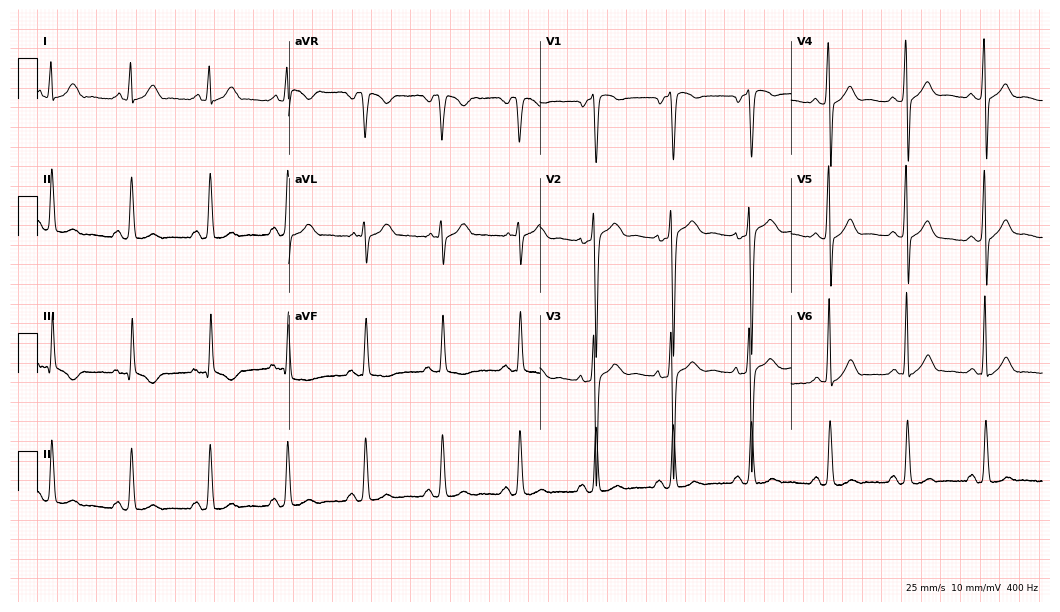
Standard 12-lead ECG recorded from a male, 39 years old. Read as a normal ECG.